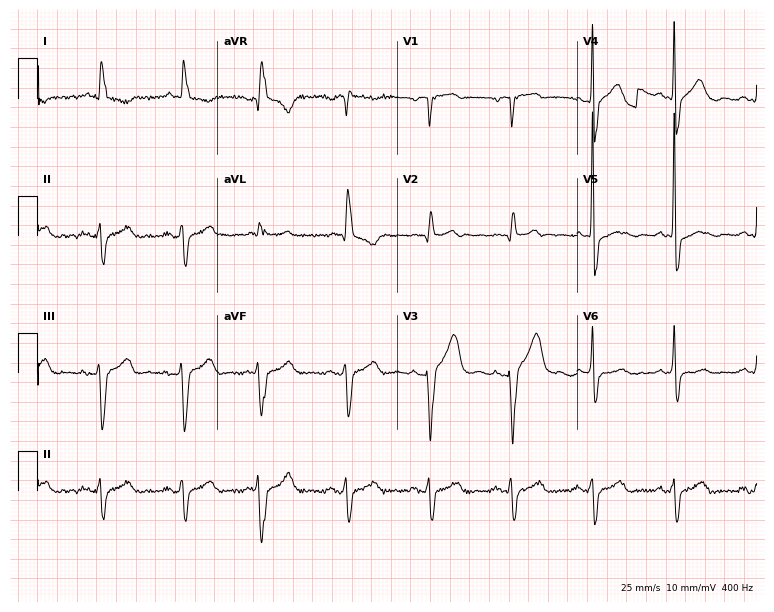
Electrocardiogram (7.3-second recording at 400 Hz), a male patient, 82 years old. Interpretation includes right bundle branch block.